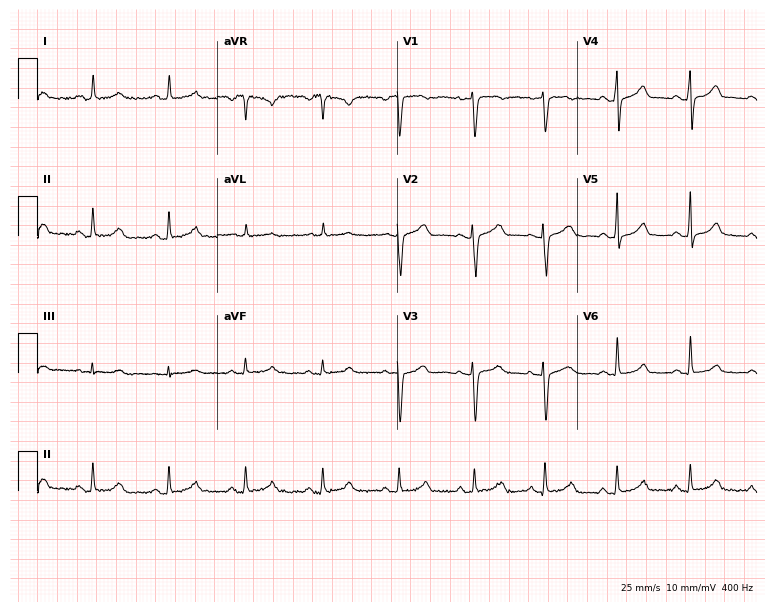
Resting 12-lead electrocardiogram. Patient: a 30-year-old female. Read as a normal ECG.